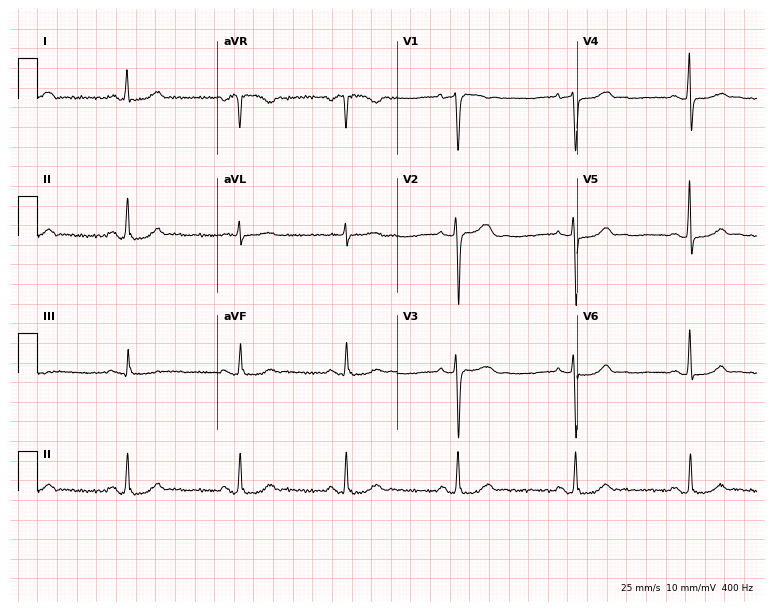
Resting 12-lead electrocardiogram. Patient: a 51-year-old female. Read as a normal ECG.